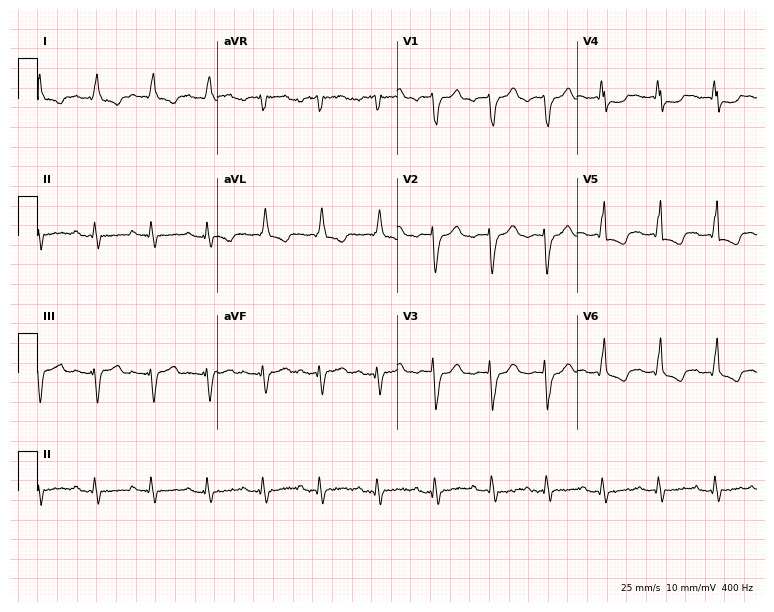
12-lead ECG (7.3-second recording at 400 Hz) from an 82-year-old man. Findings include left bundle branch block, sinus tachycardia (a sinus rate of 100 beats per minute or more).